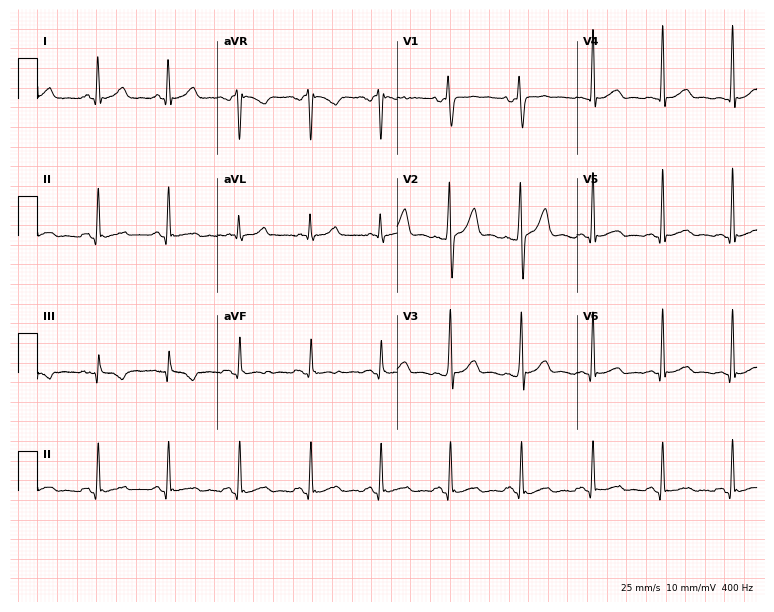
ECG (7.3-second recording at 400 Hz) — a male, 33 years old. Screened for six findings — first-degree AV block, right bundle branch block, left bundle branch block, sinus bradycardia, atrial fibrillation, sinus tachycardia — none is recorded.